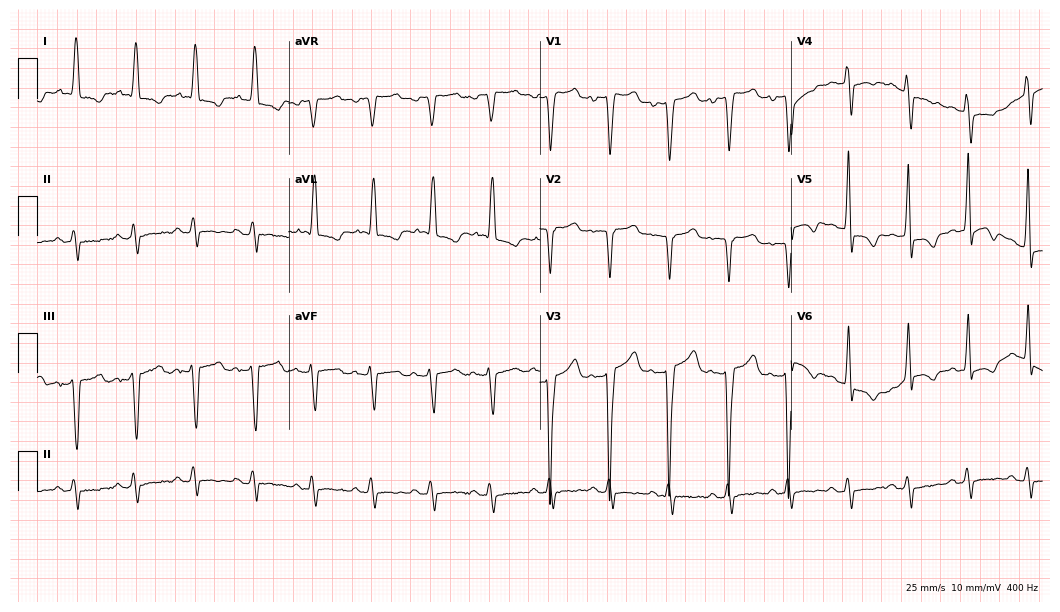
Electrocardiogram (10.2-second recording at 400 Hz), a 68-year-old woman. Of the six screened findings (first-degree AV block, right bundle branch block, left bundle branch block, sinus bradycardia, atrial fibrillation, sinus tachycardia), none is recorded. Findings outside these six are not listed.